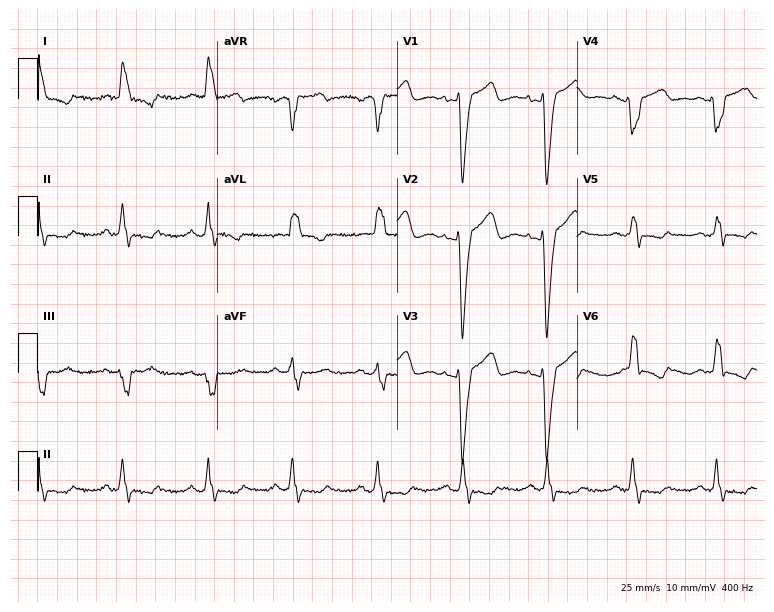
Resting 12-lead electrocardiogram (7.3-second recording at 400 Hz). Patient: a 65-year-old female. The tracing shows left bundle branch block.